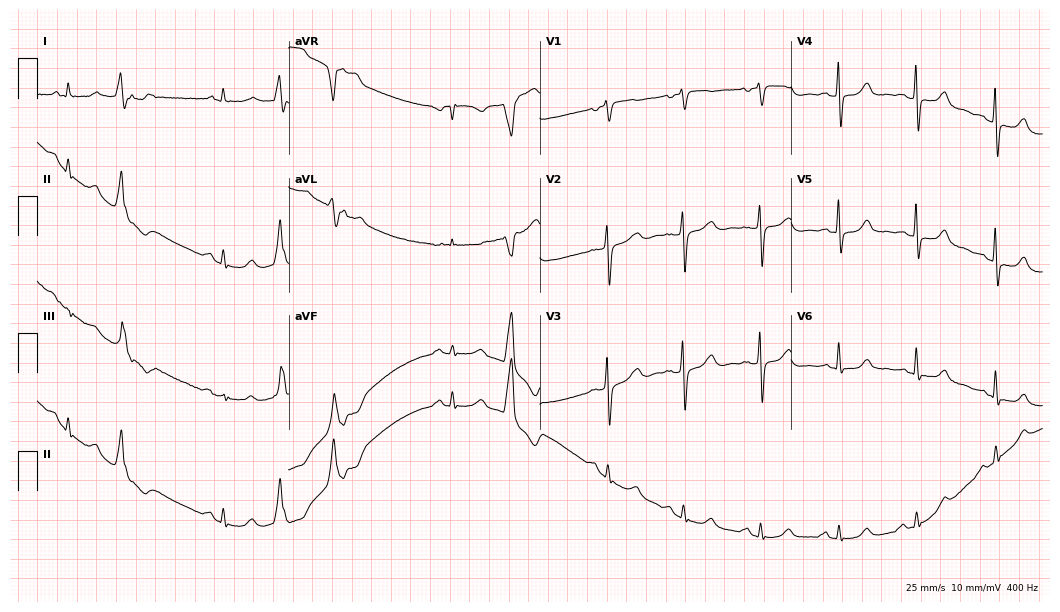
Resting 12-lead electrocardiogram (10.2-second recording at 400 Hz). Patient: an 80-year-old male. None of these six findings is recorded: first-degree AV block, right bundle branch block (RBBB), left bundle branch block (LBBB), sinus bradycardia, atrial fibrillation (AF), sinus tachycardia.